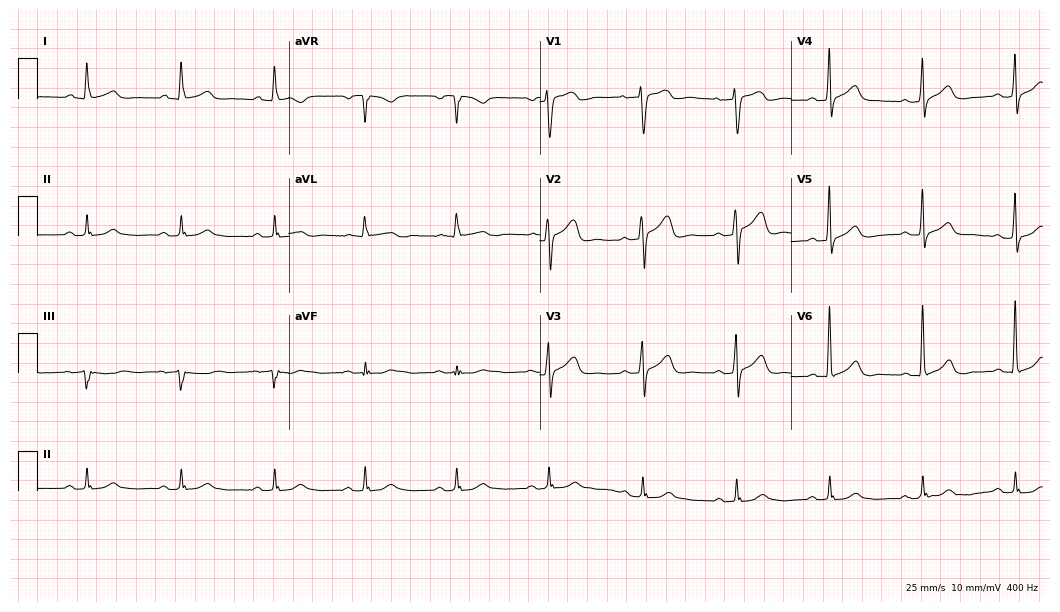
Electrocardiogram, a male patient, 74 years old. Of the six screened findings (first-degree AV block, right bundle branch block (RBBB), left bundle branch block (LBBB), sinus bradycardia, atrial fibrillation (AF), sinus tachycardia), none is recorded. Findings outside these six are not listed.